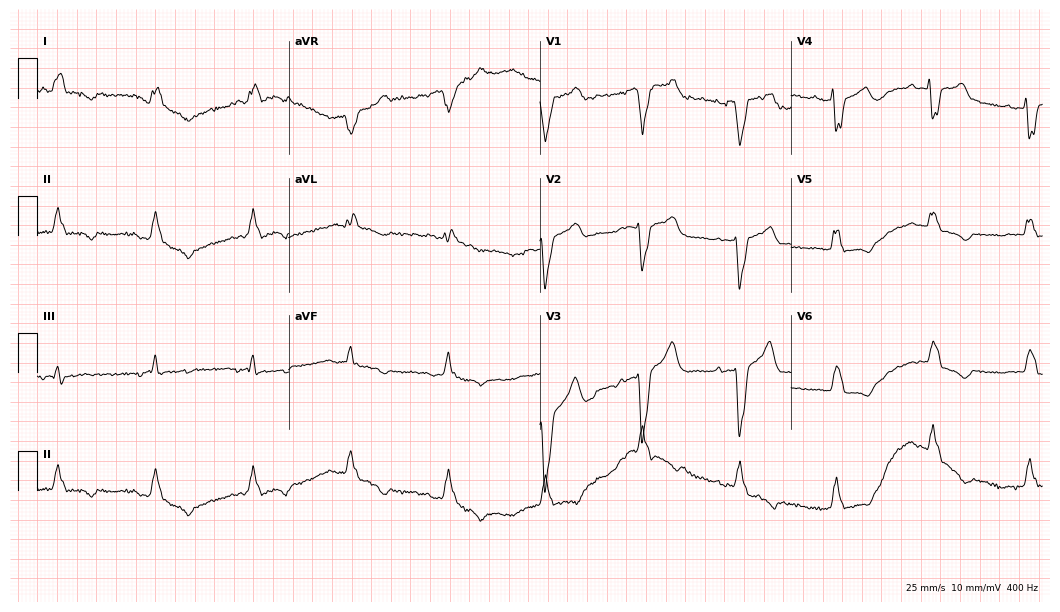
ECG (10.2-second recording at 400 Hz) — a 60-year-old male. Findings include left bundle branch block.